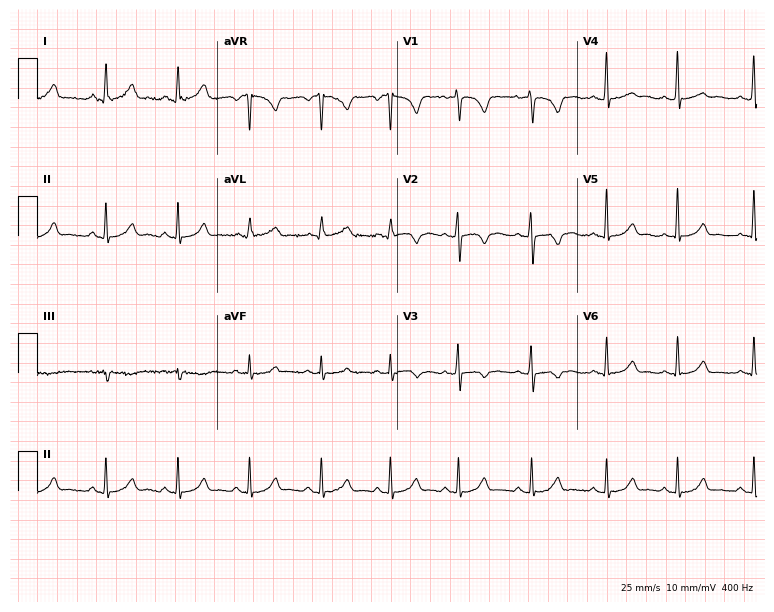
ECG (7.3-second recording at 400 Hz) — a 23-year-old woman. Screened for six findings — first-degree AV block, right bundle branch block, left bundle branch block, sinus bradycardia, atrial fibrillation, sinus tachycardia — none is recorded.